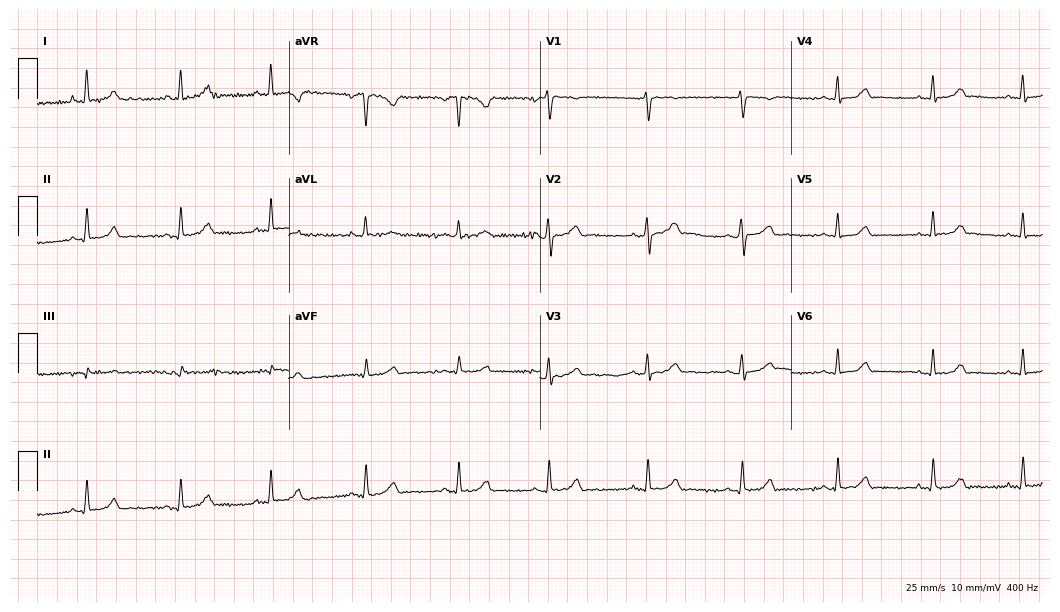
ECG (10.2-second recording at 400 Hz) — a 35-year-old female patient. Labelled as a normal ECG.